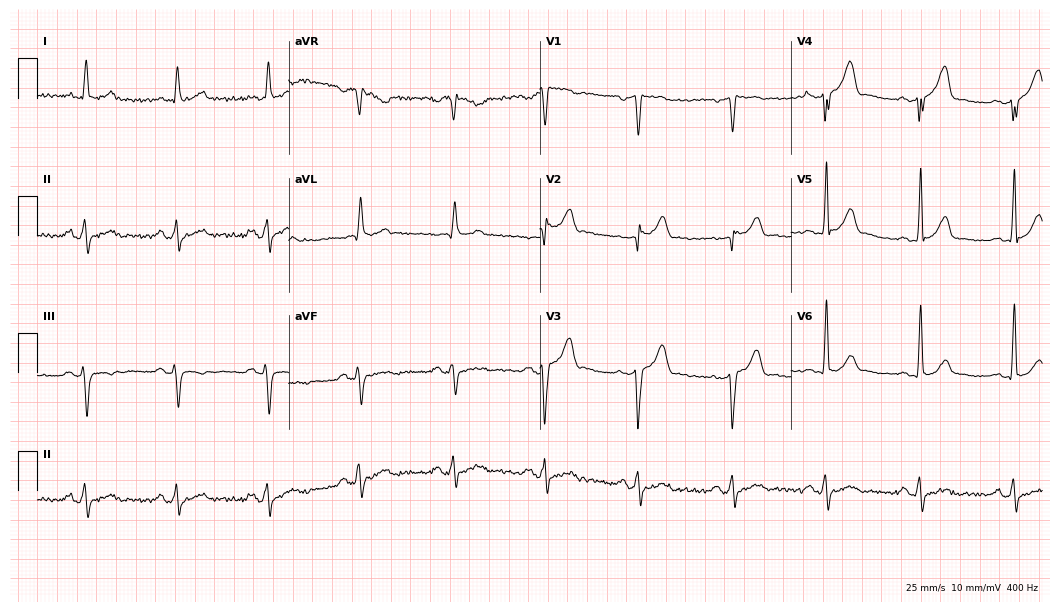
Standard 12-lead ECG recorded from a 65-year-old male (10.2-second recording at 400 Hz). None of these six findings is recorded: first-degree AV block, right bundle branch block, left bundle branch block, sinus bradycardia, atrial fibrillation, sinus tachycardia. Other findings, if any, are not listed.